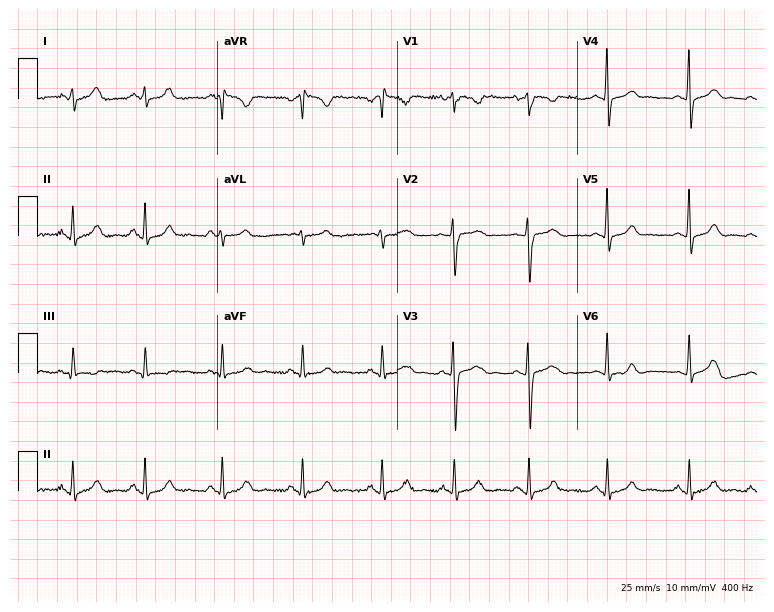
Standard 12-lead ECG recorded from a woman, 19 years old. Read as a normal ECG.